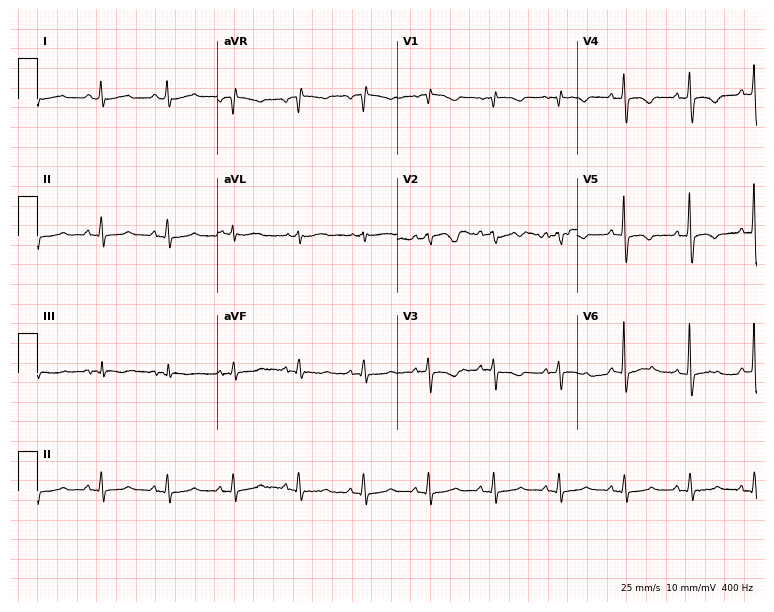
Standard 12-lead ECG recorded from a female patient, 55 years old (7.3-second recording at 400 Hz). None of these six findings is recorded: first-degree AV block, right bundle branch block (RBBB), left bundle branch block (LBBB), sinus bradycardia, atrial fibrillation (AF), sinus tachycardia. Only these six findings were labelled.